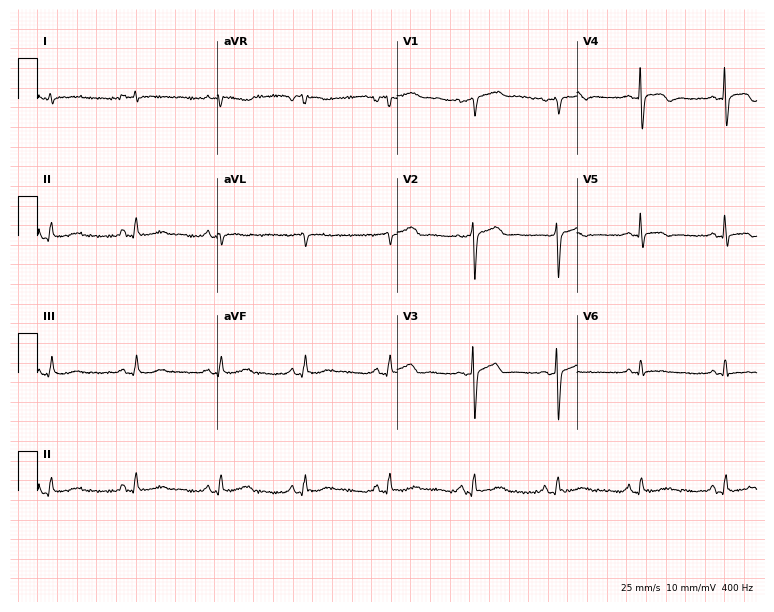
Resting 12-lead electrocardiogram (7.3-second recording at 400 Hz). Patient: a 68-year-old female. None of these six findings is recorded: first-degree AV block, right bundle branch block, left bundle branch block, sinus bradycardia, atrial fibrillation, sinus tachycardia.